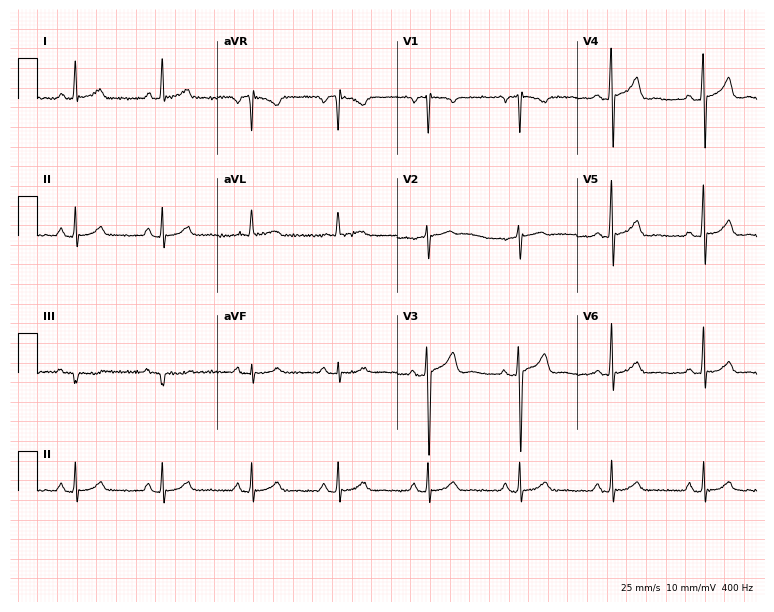
Standard 12-lead ECG recorded from a 63-year-old male (7.3-second recording at 400 Hz). Read as a normal ECG.